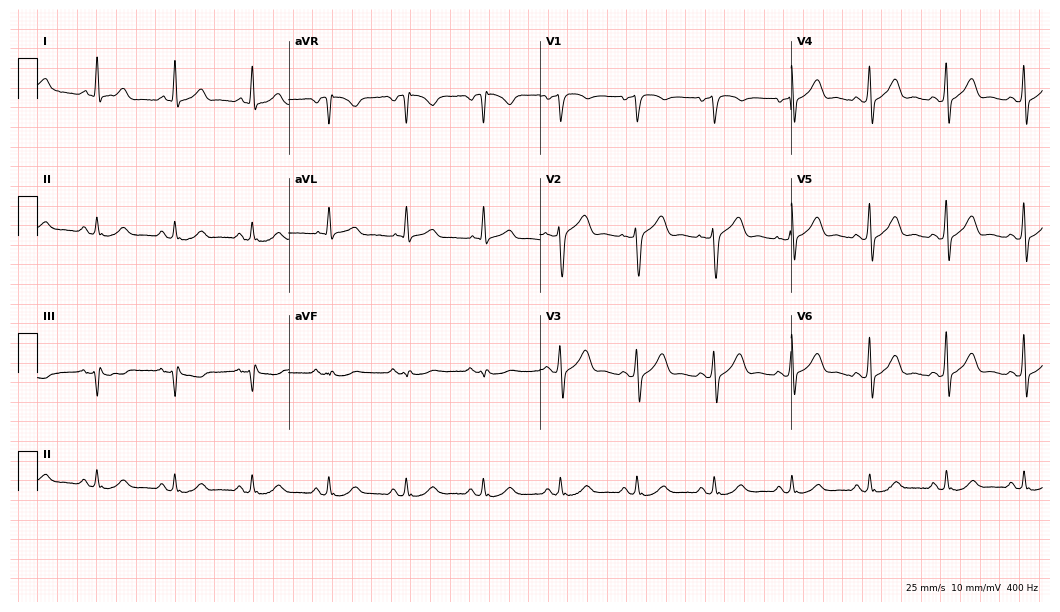
12-lead ECG (10.2-second recording at 400 Hz) from a 76-year-old man. Labelled as a normal ECG.